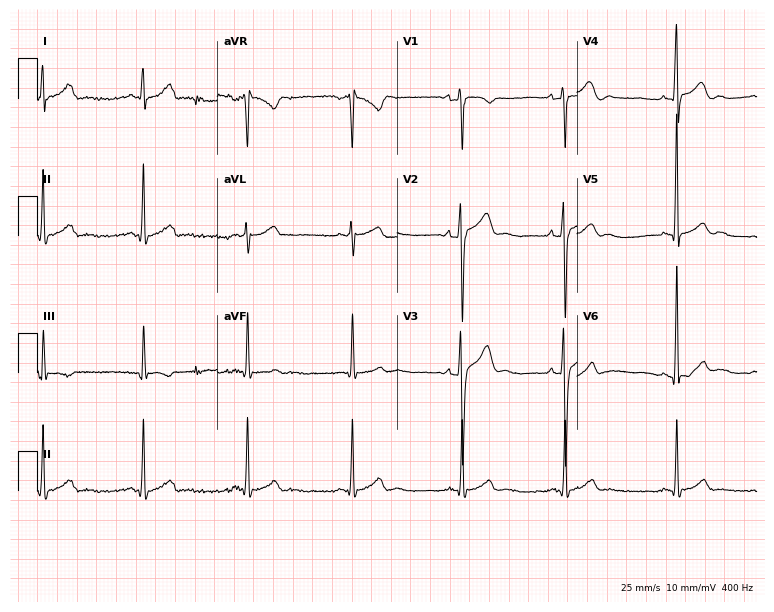
12-lead ECG from a male, 24 years old (7.3-second recording at 400 Hz). Recorded interpretation: within normal limits.